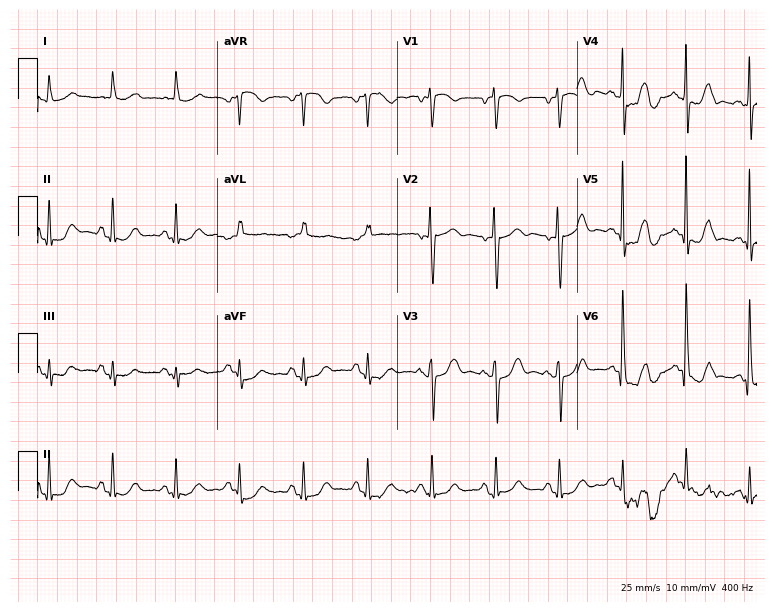
12-lead ECG from a female patient, 83 years old (7.3-second recording at 400 Hz). Recorded interpretation: within normal limits.